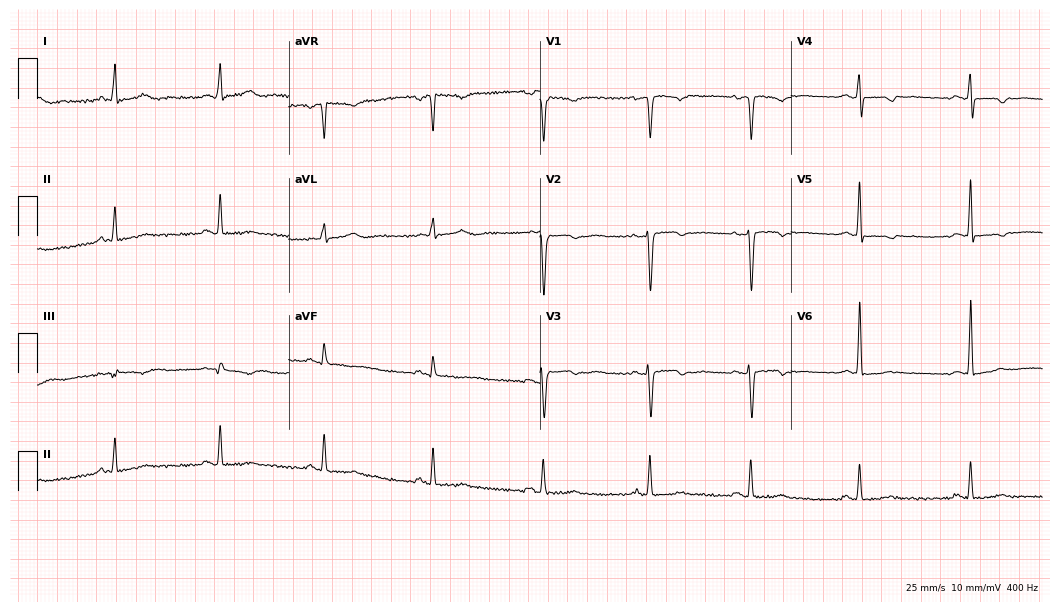
12-lead ECG (10.2-second recording at 400 Hz) from a 37-year-old female. Screened for six findings — first-degree AV block, right bundle branch block, left bundle branch block, sinus bradycardia, atrial fibrillation, sinus tachycardia — none is recorded. Only these six findings were labelled.